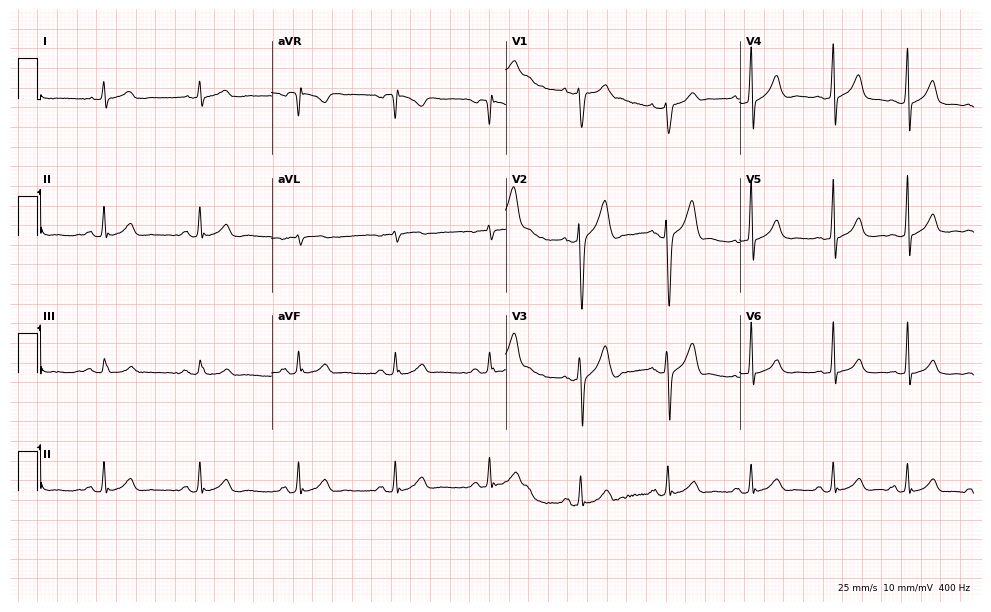
Electrocardiogram, a male, 32 years old. Overall reading on record: normal ECG.